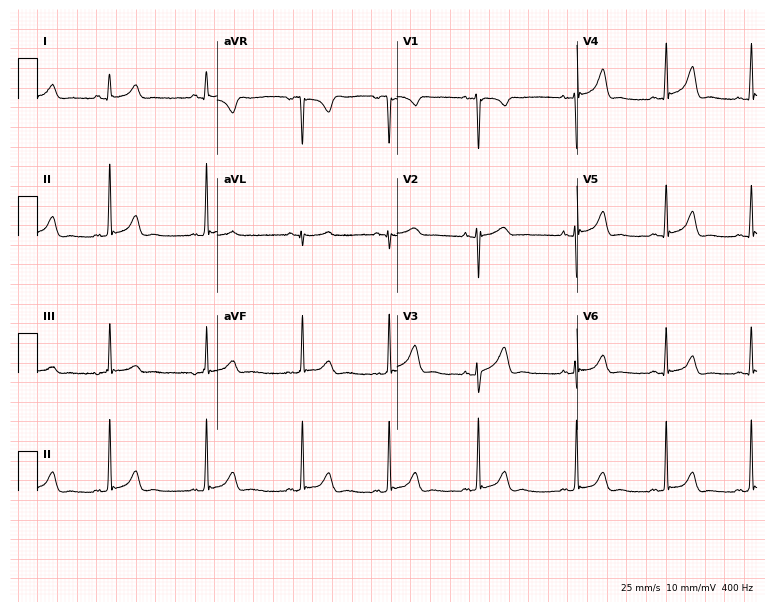
Resting 12-lead electrocardiogram. Patient: a 22-year-old woman. Read as a normal ECG.